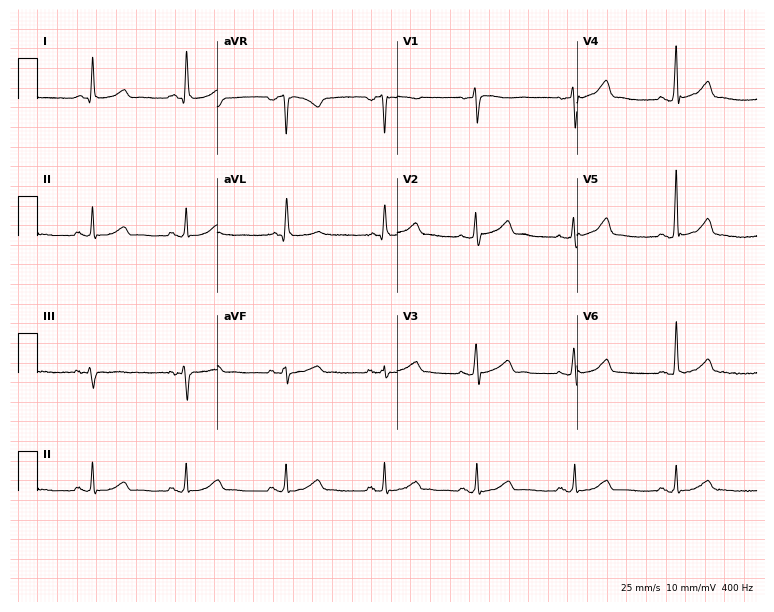
12-lead ECG from a man, 40 years old. Labelled as a normal ECG.